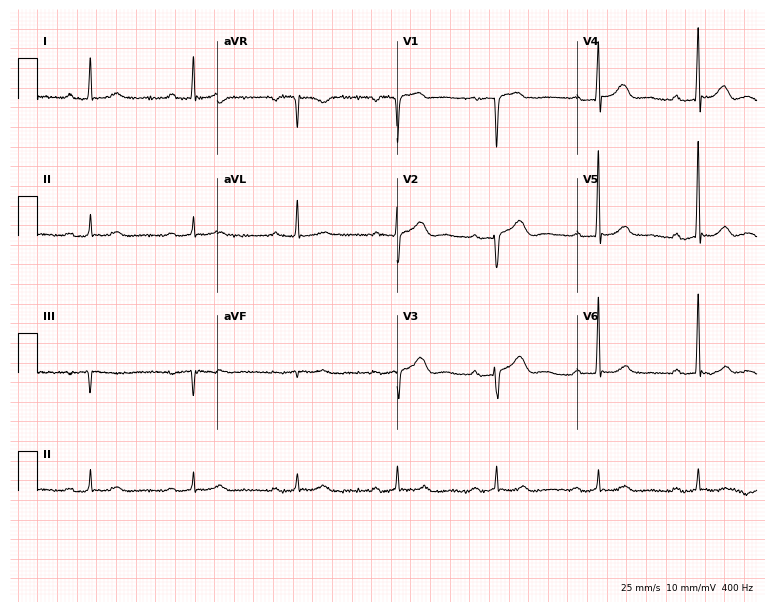
Standard 12-lead ECG recorded from a 63-year-old female (7.3-second recording at 400 Hz). None of these six findings is recorded: first-degree AV block, right bundle branch block, left bundle branch block, sinus bradycardia, atrial fibrillation, sinus tachycardia. Only these six findings were labelled.